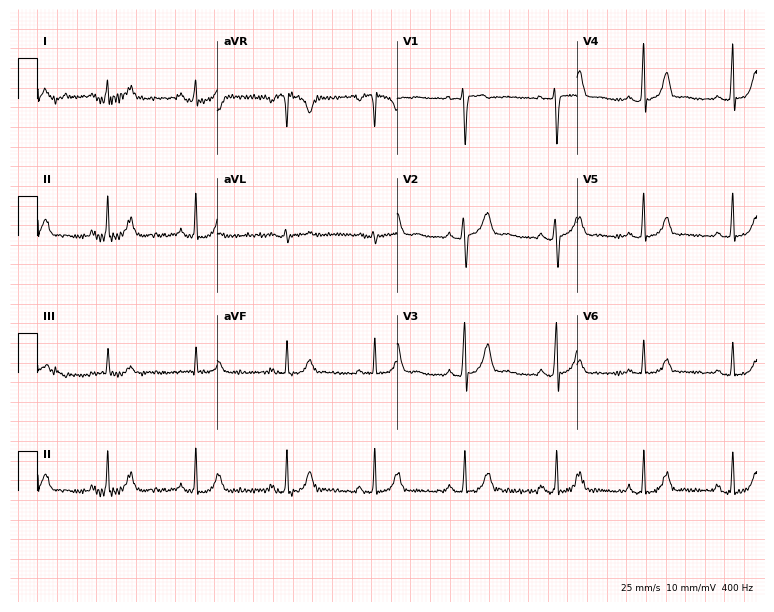
12-lead ECG from a 30-year-old woman. Labelled as a normal ECG.